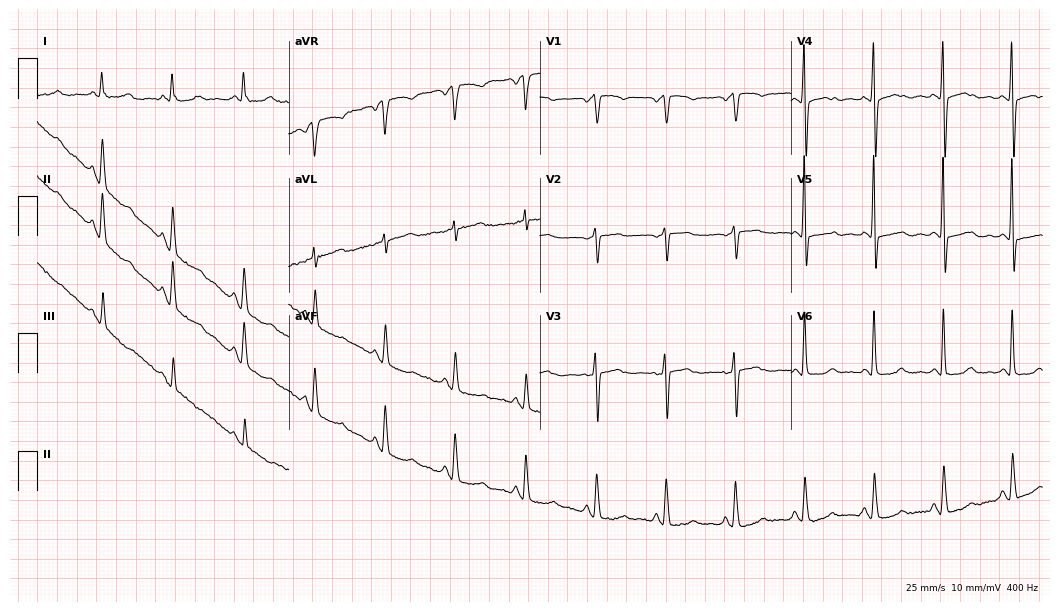
12-lead ECG from a female, 72 years old. Screened for six findings — first-degree AV block, right bundle branch block, left bundle branch block, sinus bradycardia, atrial fibrillation, sinus tachycardia — none is recorded. Only these six findings were labelled.